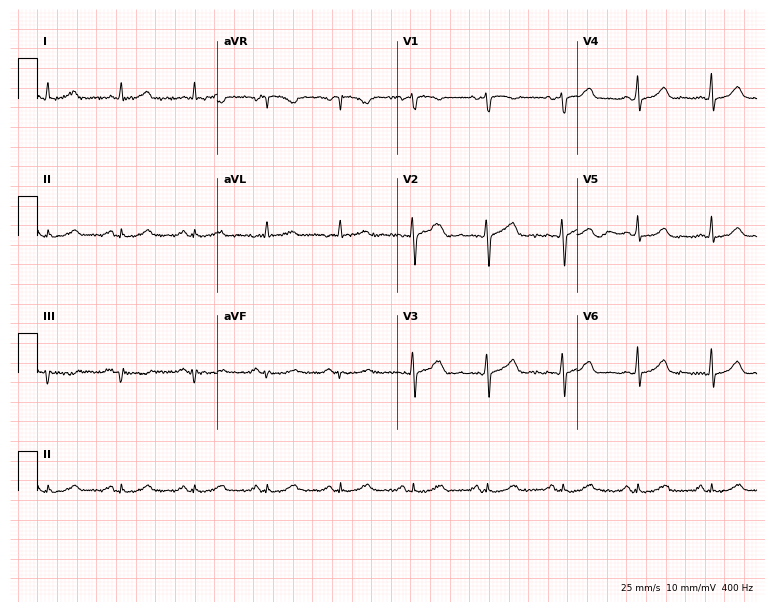
Standard 12-lead ECG recorded from a 55-year-old female. Read as a normal ECG.